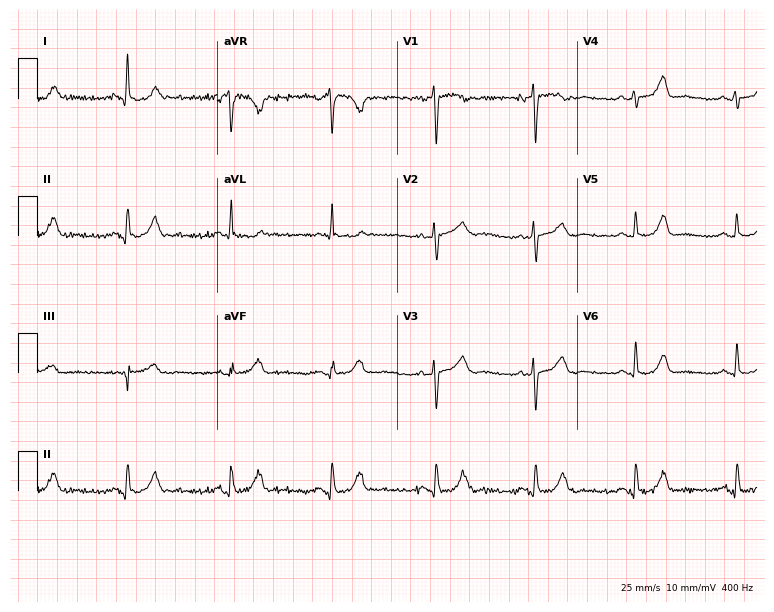
Electrocardiogram (7.3-second recording at 400 Hz), a female, 62 years old. Of the six screened findings (first-degree AV block, right bundle branch block (RBBB), left bundle branch block (LBBB), sinus bradycardia, atrial fibrillation (AF), sinus tachycardia), none is recorded.